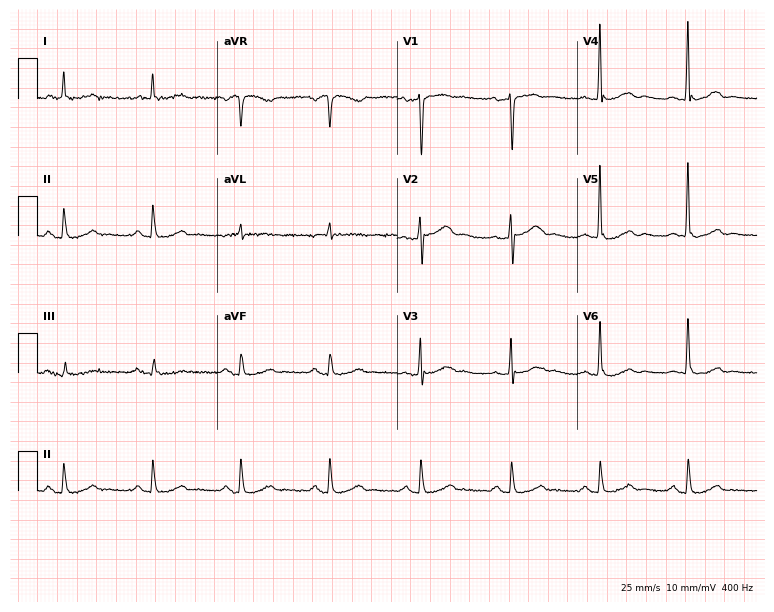
Standard 12-lead ECG recorded from a 71-year-old male. None of these six findings is recorded: first-degree AV block, right bundle branch block, left bundle branch block, sinus bradycardia, atrial fibrillation, sinus tachycardia. Other findings, if any, are not listed.